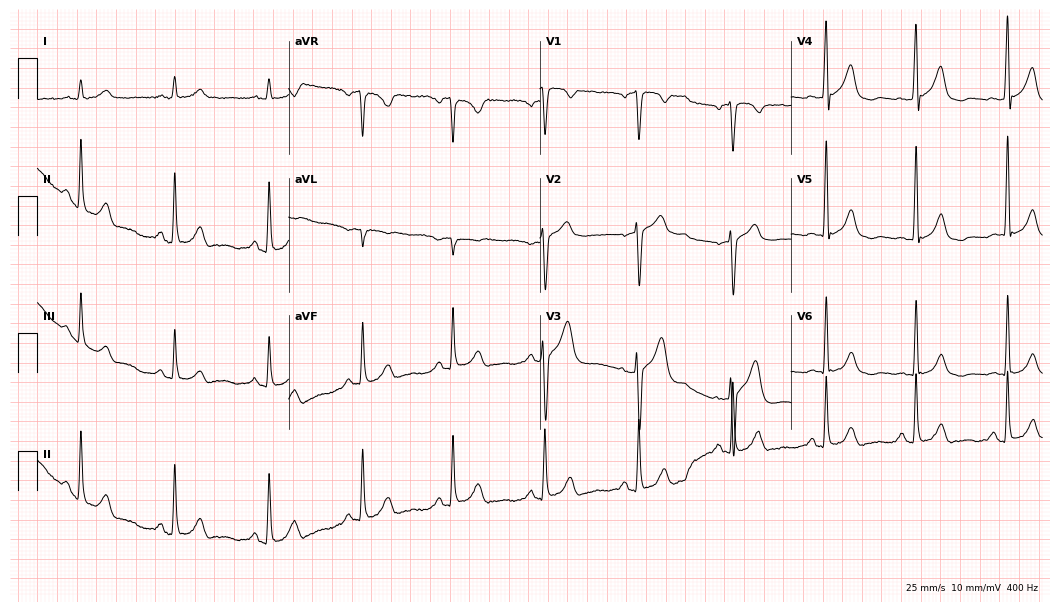
12-lead ECG from a male, 58 years old. No first-degree AV block, right bundle branch block, left bundle branch block, sinus bradycardia, atrial fibrillation or sinus tachycardia recorded for this tracing.